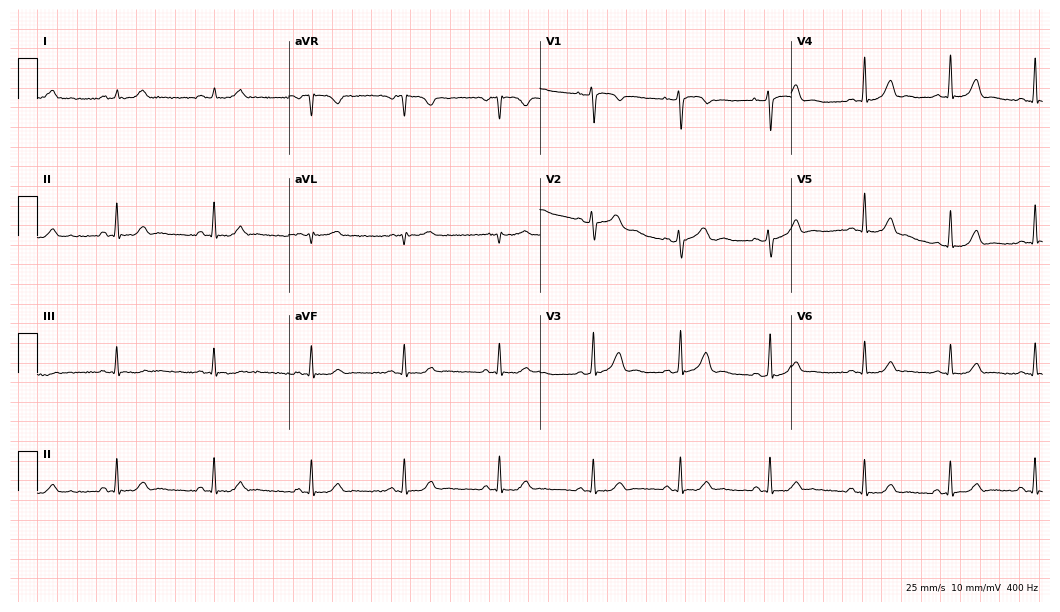
12-lead ECG (10.2-second recording at 400 Hz) from a female patient, 19 years old. Labelled as a normal ECG.